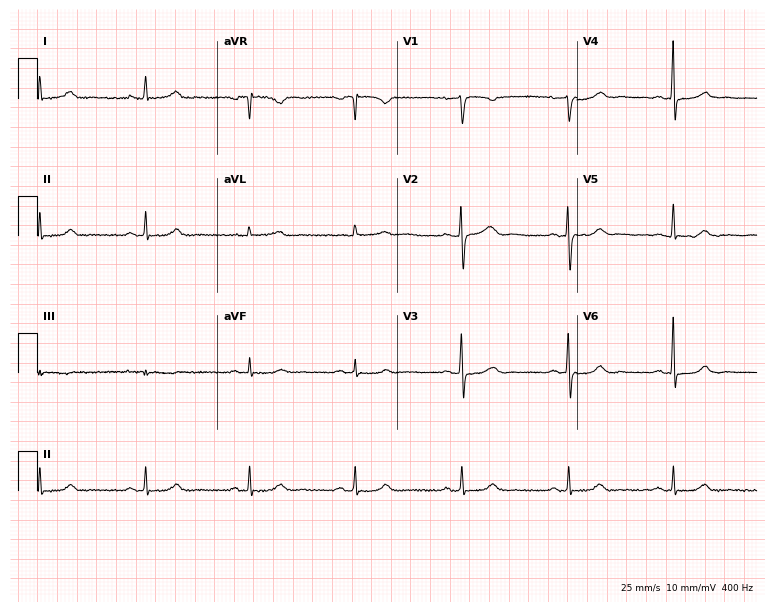
ECG (7.3-second recording at 400 Hz) — a female, 54 years old. Screened for six findings — first-degree AV block, right bundle branch block (RBBB), left bundle branch block (LBBB), sinus bradycardia, atrial fibrillation (AF), sinus tachycardia — none is recorded. Other findings, if any, are not listed.